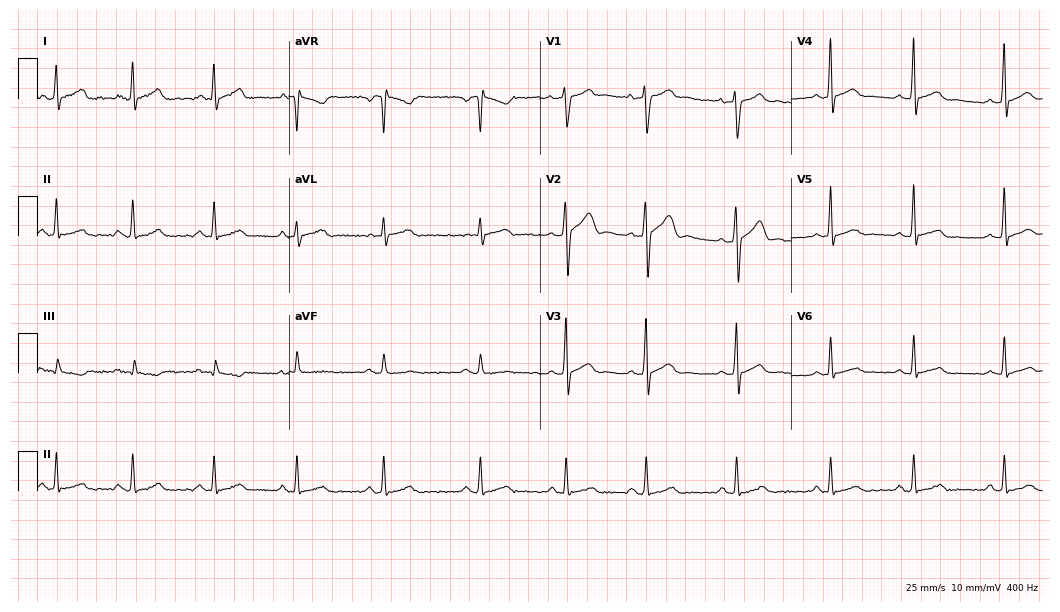
Standard 12-lead ECG recorded from a 20-year-old woman. Read as a normal ECG.